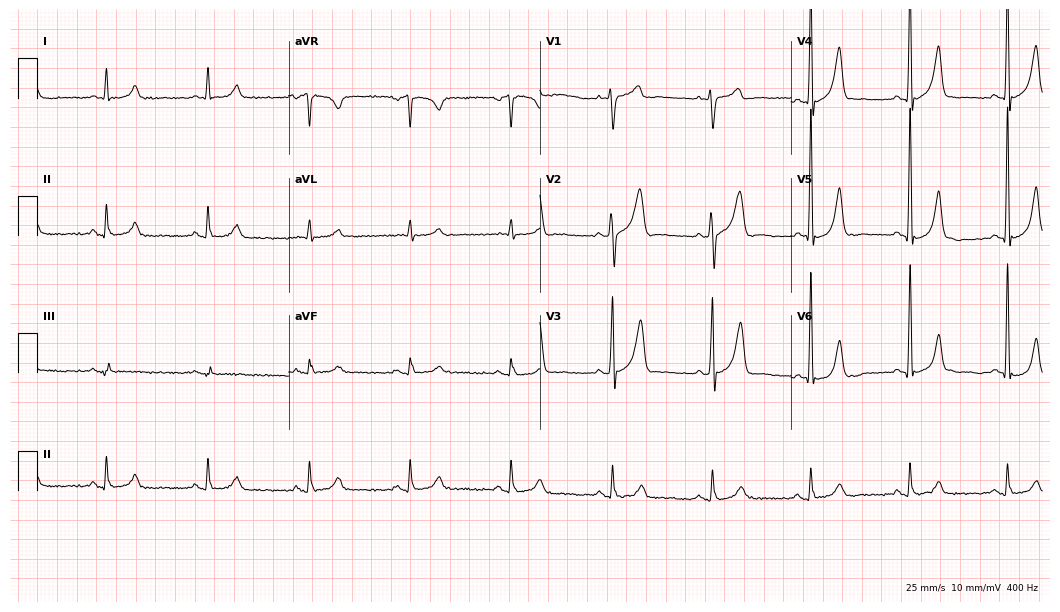
12-lead ECG from a 79-year-old male. Labelled as a normal ECG.